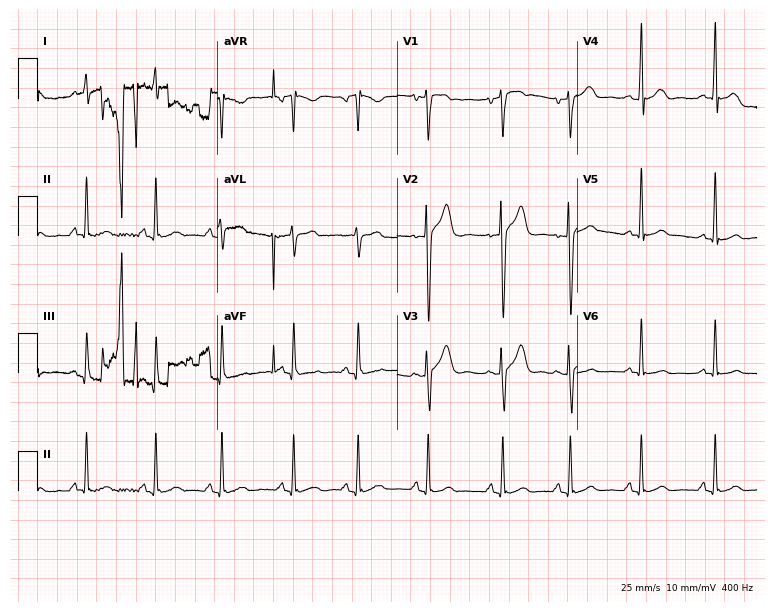
Standard 12-lead ECG recorded from a male, 20 years old (7.3-second recording at 400 Hz). None of these six findings is recorded: first-degree AV block, right bundle branch block (RBBB), left bundle branch block (LBBB), sinus bradycardia, atrial fibrillation (AF), sinus tachycardia. Other findings, if any, are not listed.